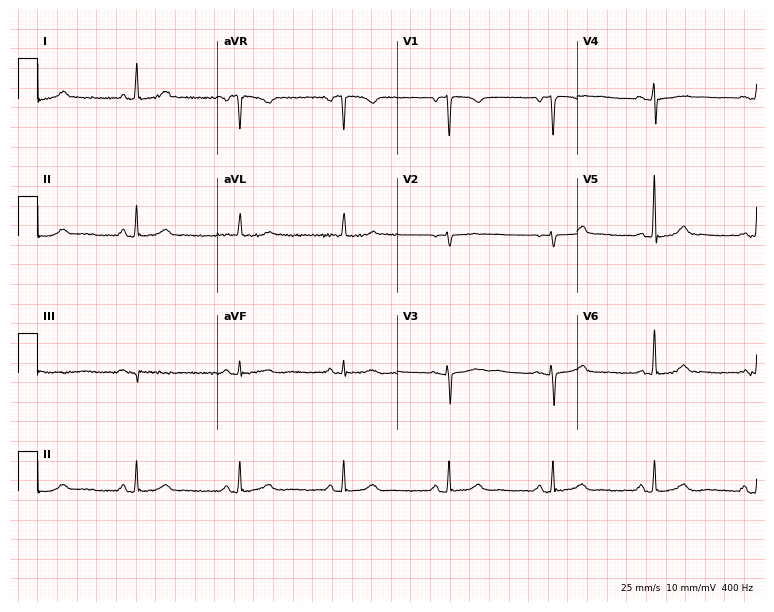
Standard 12-lead ECG recorded from a 73-year-old female. None of these six findings is recorded: first-degree AV block, right bundle branch block (RBBB), left bundle branch block (LBBB), sinus bradycardia, atrial fibrillation (AF), sinus tachycardia.